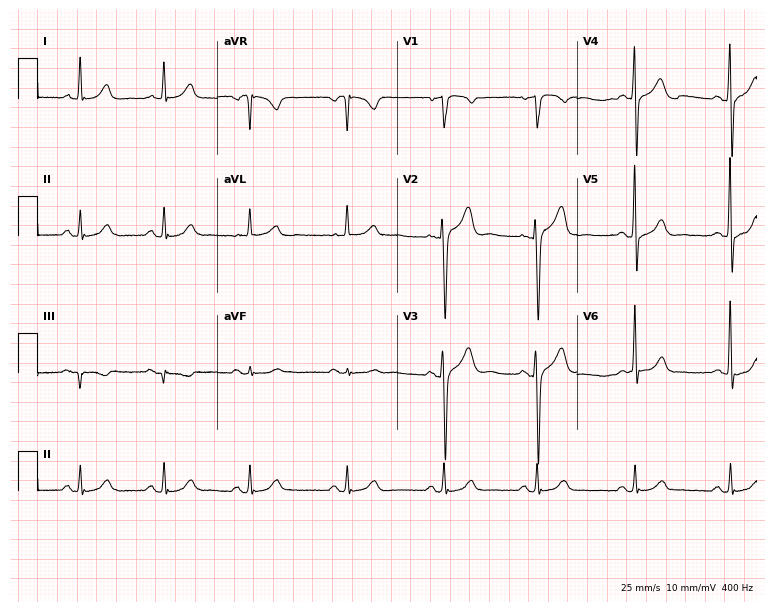
ECG (7.3-second recording at 400 Hz) — a woman, 69 years old. Screened for six findings — first-degree AV block, right bundle branch block, left bundle branch block, sinus bradycardia, atrial fibrillation, sinus tachycardia — none is recorded.